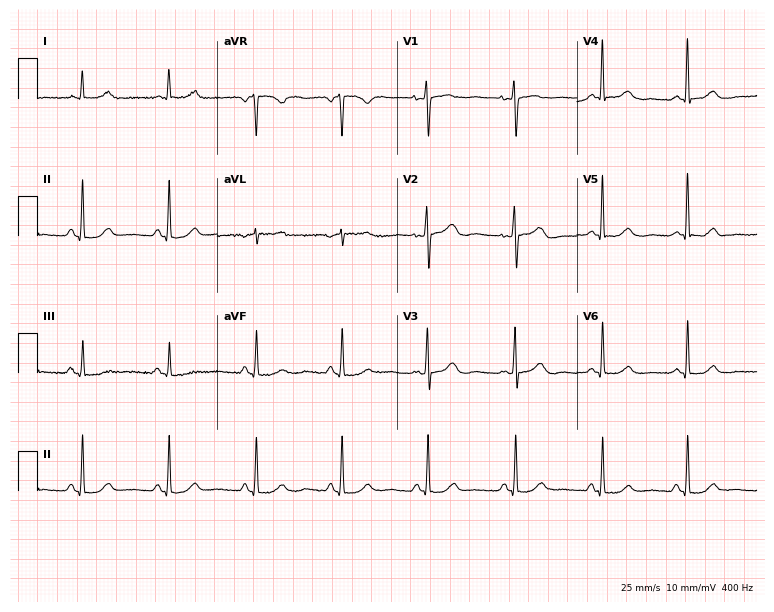
Standard 12-lead ECG recorded from a 75-year-old female patient (7.3-second recording at 400 Hz). Read as a normal ECG.